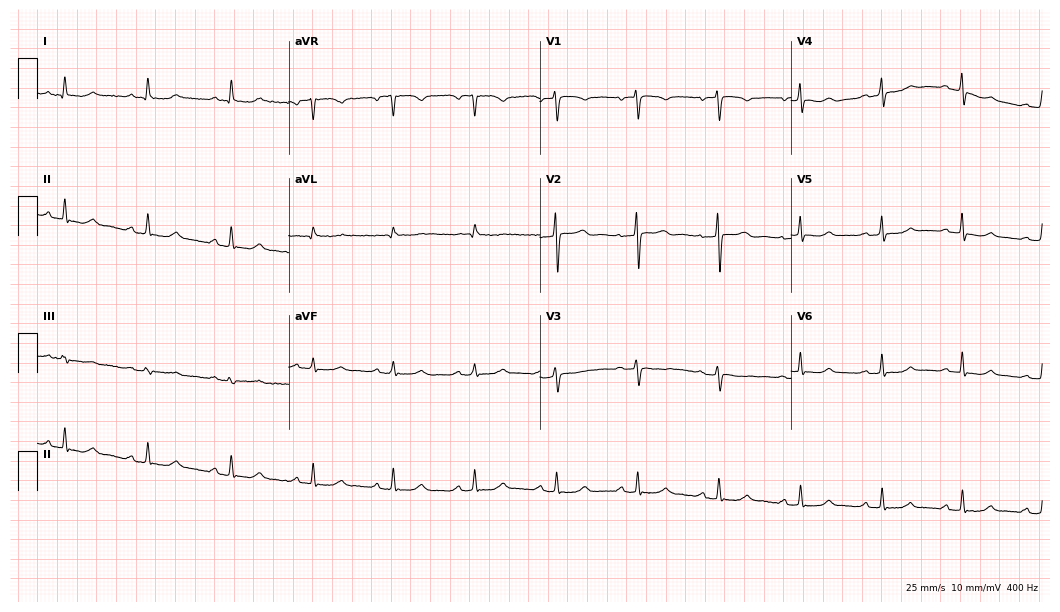
12-lead ECG (10.2-second recording at 400 Hz) from a female patient, 55 years old. Labelled as a normal ECG.